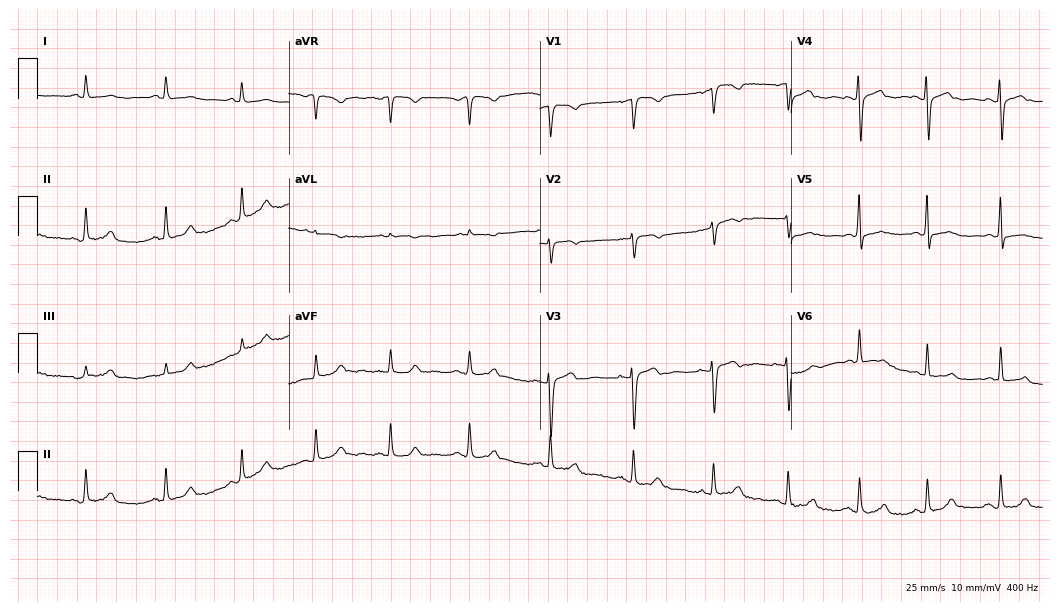
12-lead ECG from a woman, 35 years old (10.2-second recording at 400 Hz). No first-degree AV block, right bundle branch block, left bundle branch block, sinus bradycardia, atrial fibrillation or sinus tachycardia recorded for this tracing. Findings outside these six are not listed.